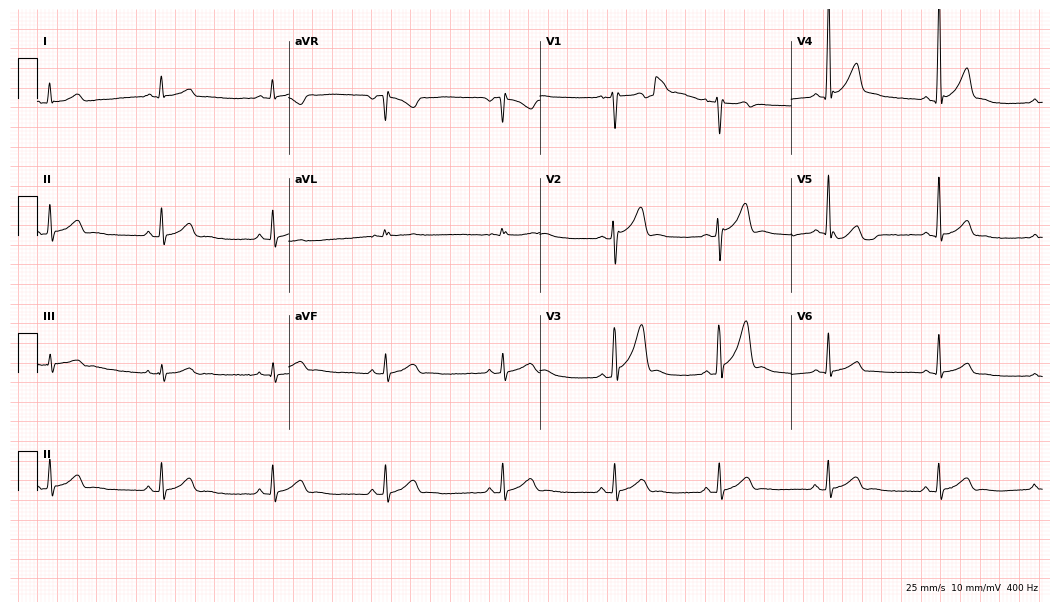
Resting 12-lead electrocardiogram. Patient: a male, 29 years old. Read as a normal ECG.